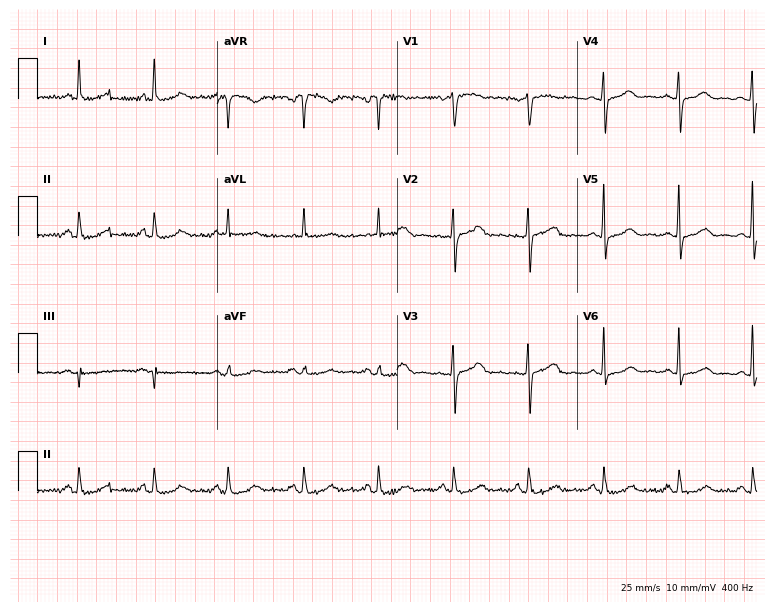
12-lead ECG from a female, 79 years old. Labelled as a normal ECG.